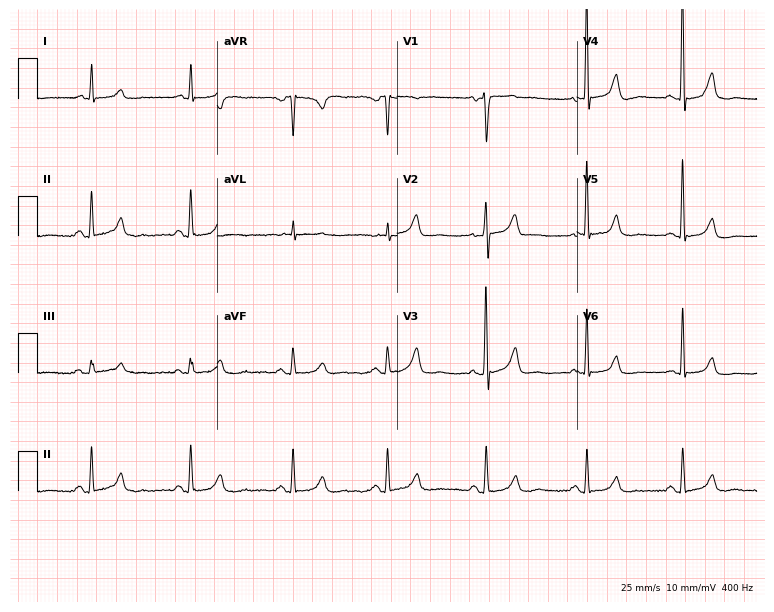
Standard 12-lead ECG recorded from a male patient, 66 years old (7.3-second recording at 400 Hz). Read as a normal ECG.